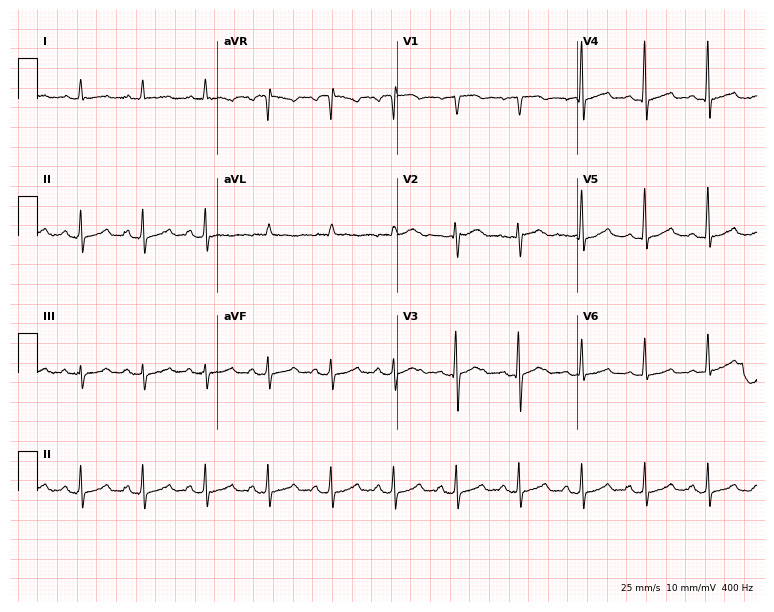
Standard 12-lead ECG recorded from a woman, 79 years old (7.3-second recording at 400 Hz). Read as a normal ECG.